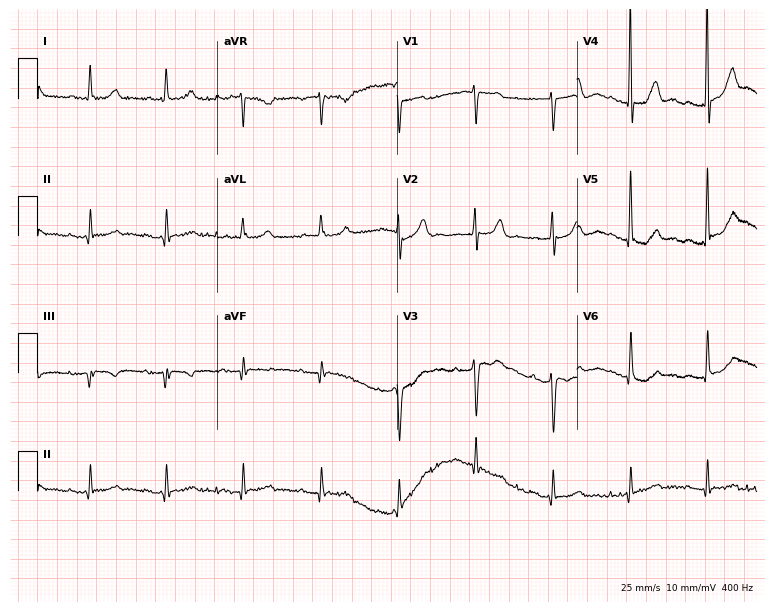
Electrocardiogram, a female patient, 80 years old. Overall reading on record: normal ECG.